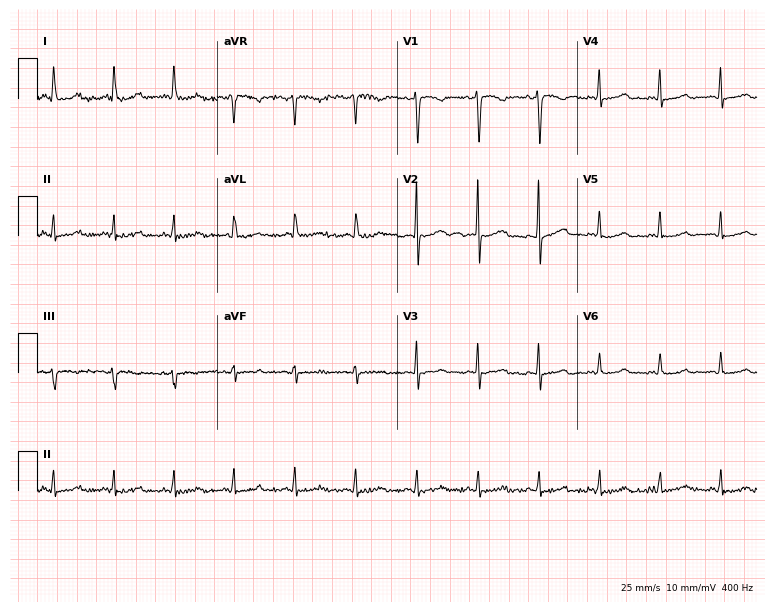
12-lead ECG from a female, 53 years old. Screened for six findings — first-degree AV block, right bundle branch block, left bundle branch block, sinus bradycardia, atrial fibrillation, sinus tachycardia — none is recorded.